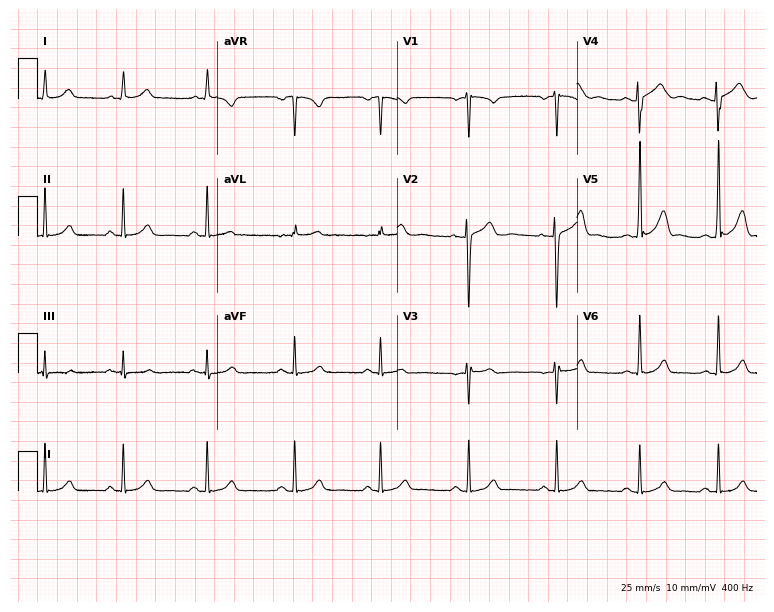
ECG — a female, 31 years old. Labelled as a normal ECG.